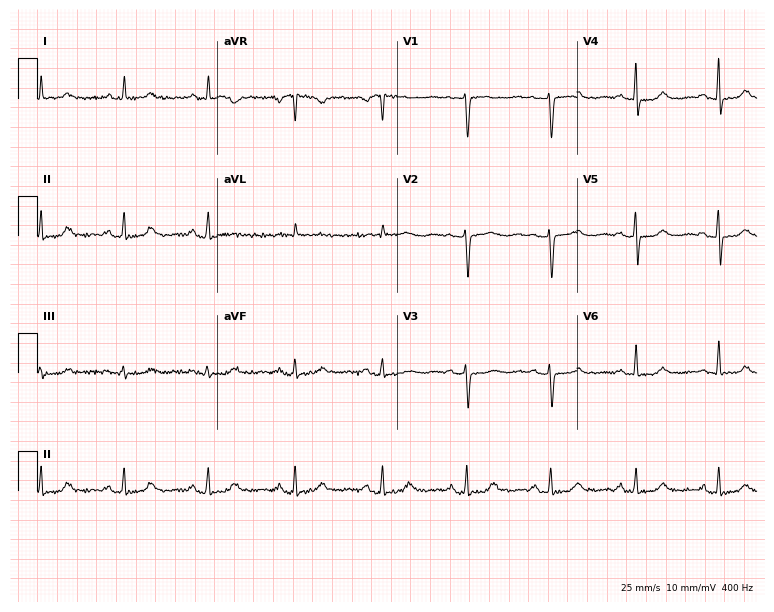
12-lead ECG from a female, 49 years old. No first-degree AV block, right bundle branch block, left bundle branch block, sinus bradycardia, atrial fibrillation or sinus tachycardia recorded for this tracing.